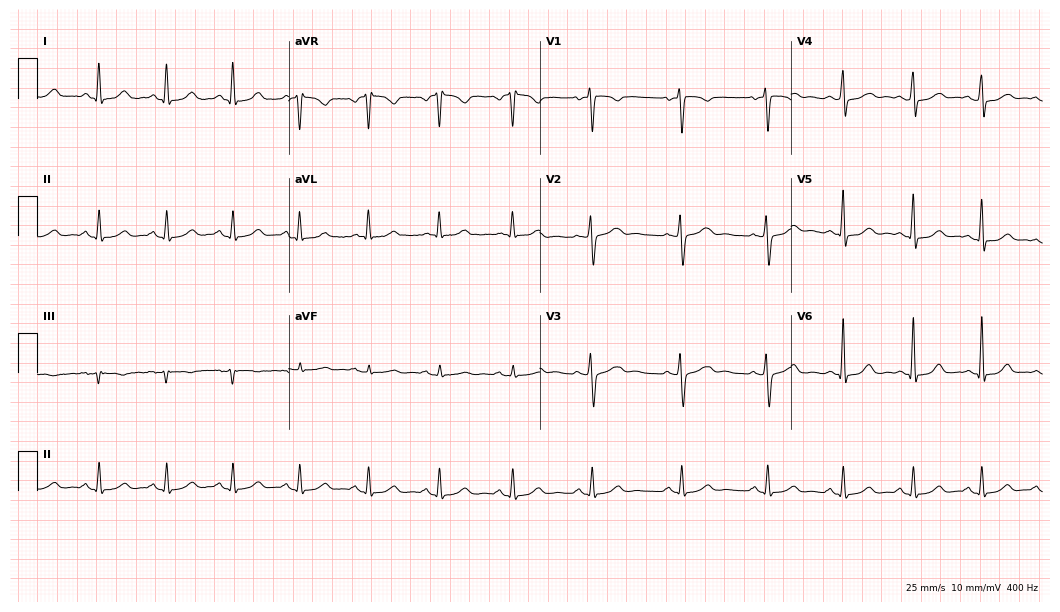
Electrocardiogram (10.2-second recording at 400 Hz), a 52-year-old woman. Overall reading on record: normal ECG.